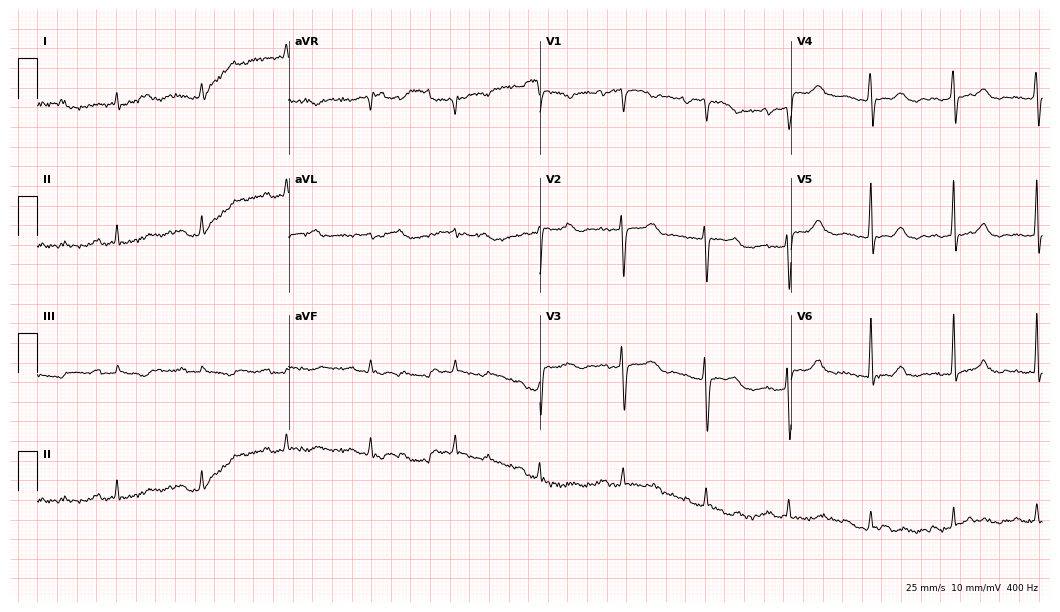
ECG (10.2-second recording at 400 Hz) — a female, 76 years old. Screened for six findings — first-degree AV block, right bundle branch block, left bundle branch block, sinus bradycardia, atrial fibrillation, sinus tachycardia — none is recorded.